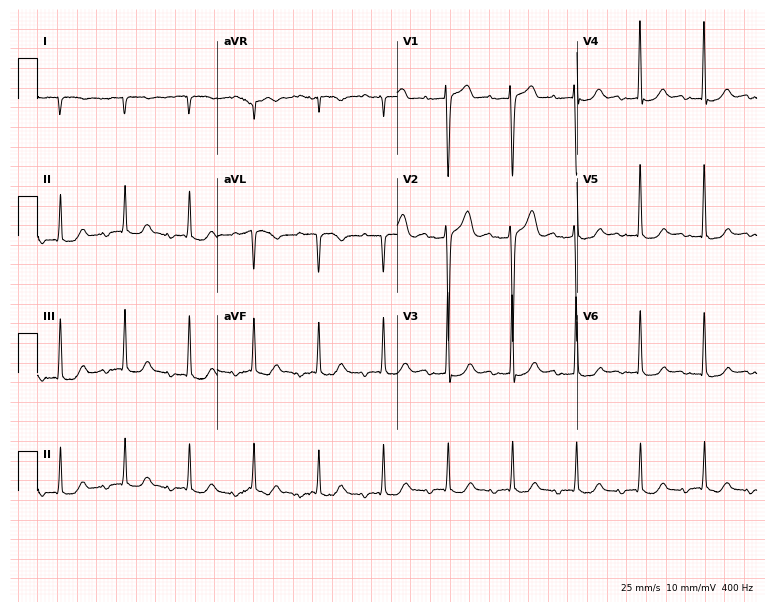
12-lead ECG from an 85-year-old male. Screened for six findings — first-degree AV block, right bundle branch block (RBBB), left bundle branch block (LBBB), sinus bradycardia, atrial fibrillation (AF), sinus tachycardia — none is recorded. Findings outside these six are not listed.